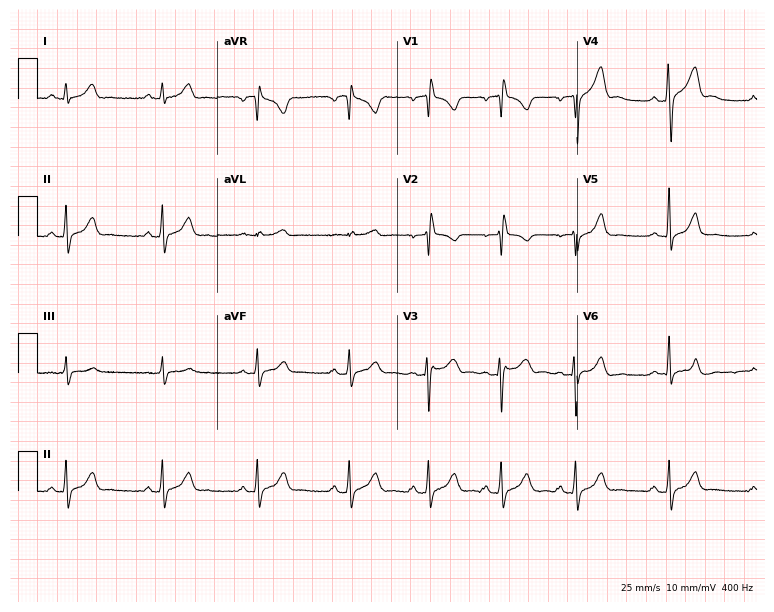
12-lead ECG from a male patient, 33 years old (7.3-second recording at 400 Hz). No first-degree AV block, right bundle branch block, left bundle branch block, sinus bradycardia, atrial fibrillation or sinus tachycardia recorded for this tracing. Only these six findings were labelled.